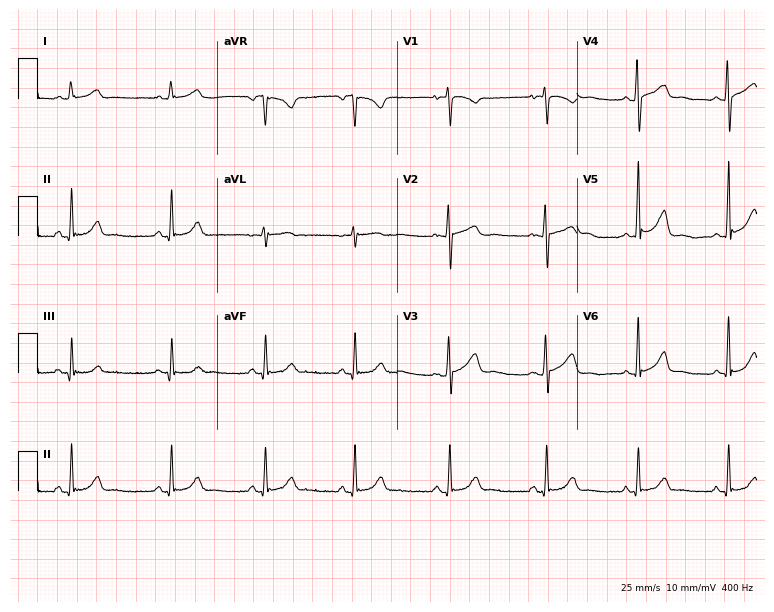
Electrocardiogram, a 22-year-old woman. Overall reading on record: normal ECG.